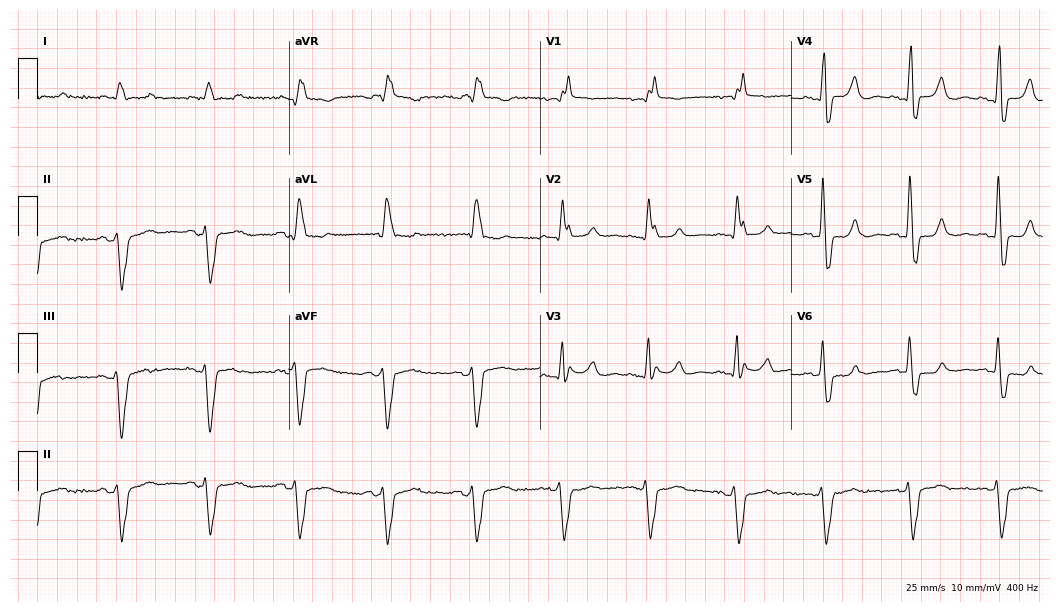
12-lead ECG from a male patient, 86 years old. Shows right bundle branch block, left bundle branch block.